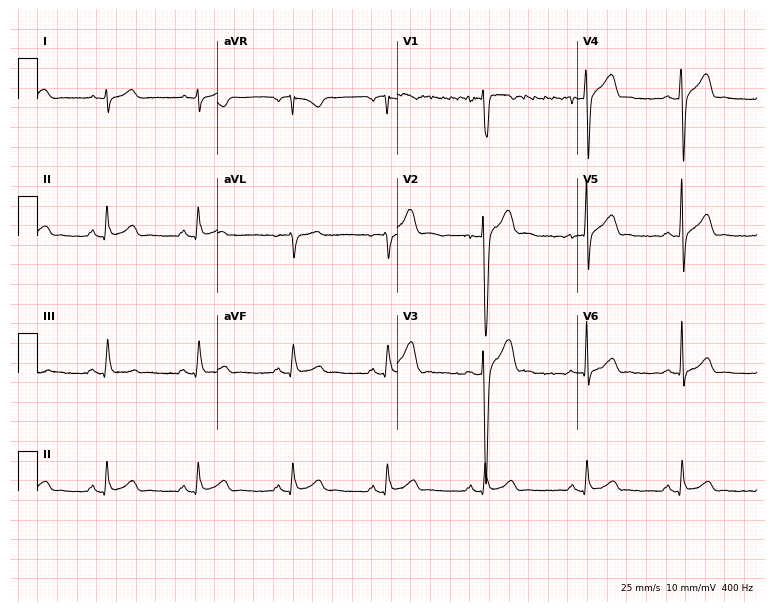
Electrocardiogram, a 25-year-old man. Of the six screened findings (first-degree AV block, right bundle branch block, left bundle branch block, sinus bradycardia, atrial fibrillation, sinus tachycardia), none is recorded.